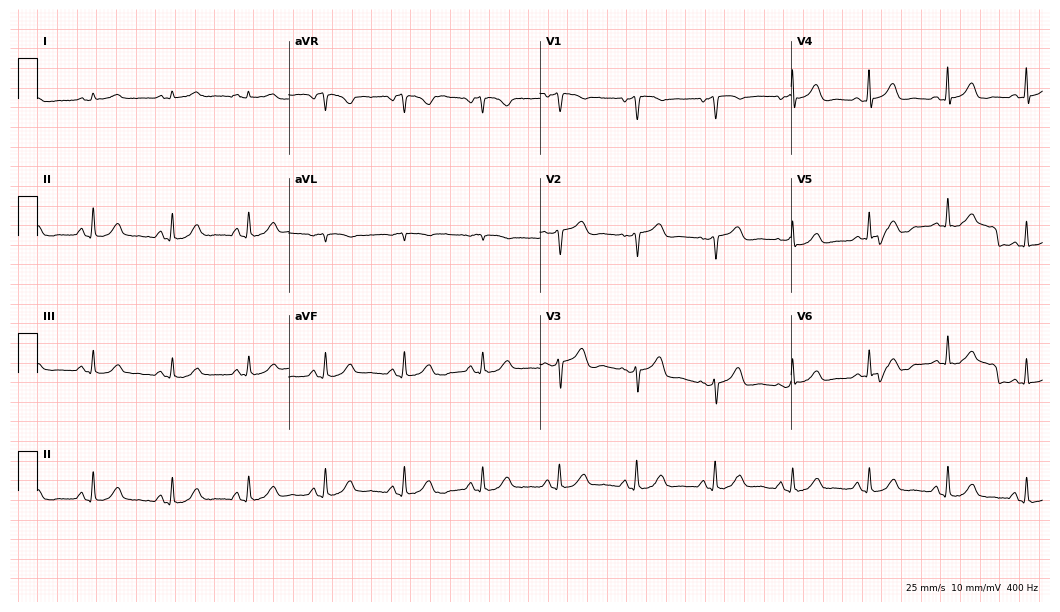
Electrocardiogram, a female patient, 75 years old. Overall reading on record: normal ECG.